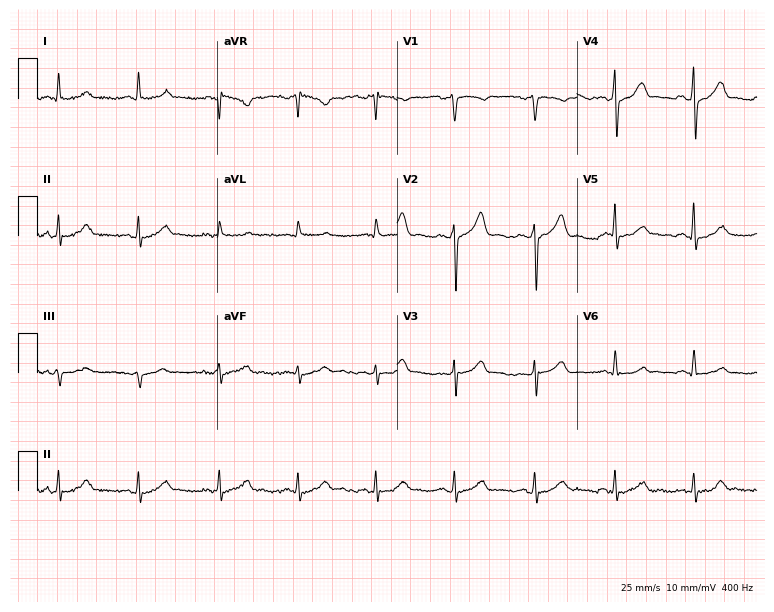
12-lead ECG from a man, 64 years old. Labelled as a normal ECG.